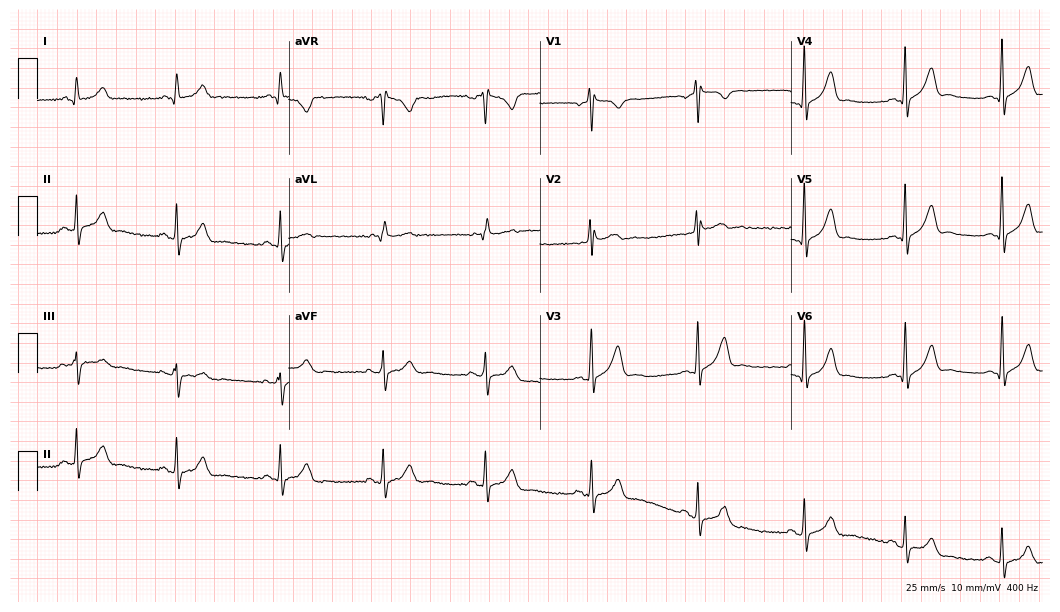
Electrocardiogram (10.2-second recording at 400 Hz), a male, 42 years old. Of the six screened findings (first-degree AV block, right bundle branch block, left bundle branch block, sinus bradycardia, atrial fibrillation, sinus tachycardia), none is recorded.